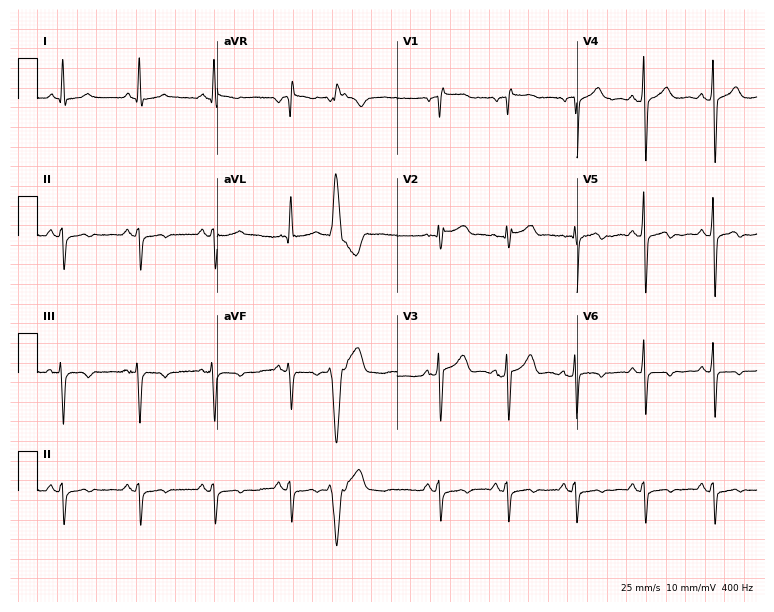
12-lead ECG from a male, 54 years old. No first-degree AV block, right bundle branch block, left bundle branch block, sinus bradycardia, atrial fibrillation or sinus tachycardia recorded for this tracing.